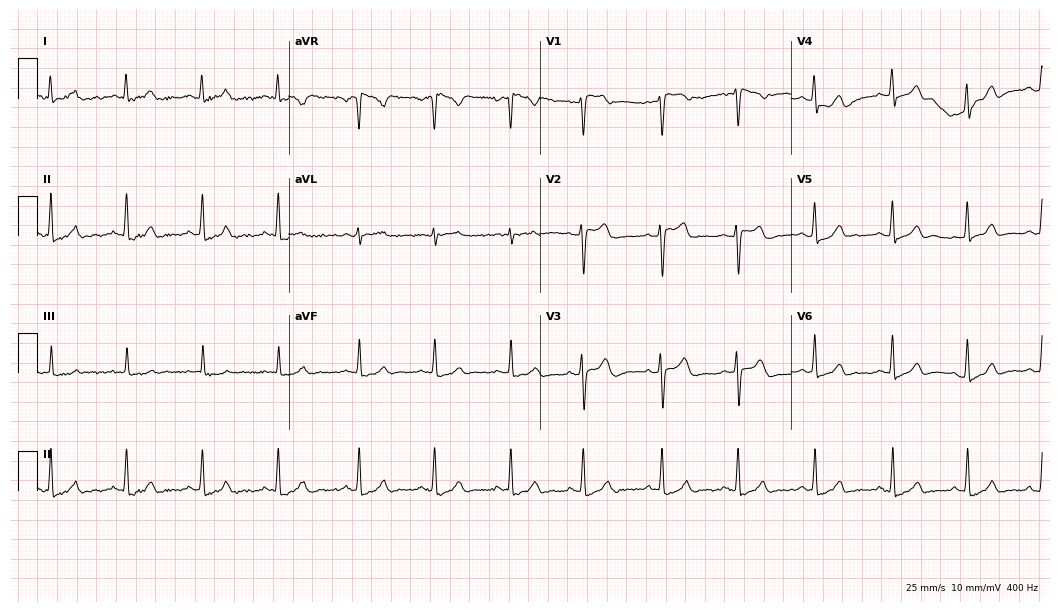
Standard 12-lead ECG recorded from a female patient, 30 years old (10.2-second recording at 400 Hz). Read as a normal ECG.